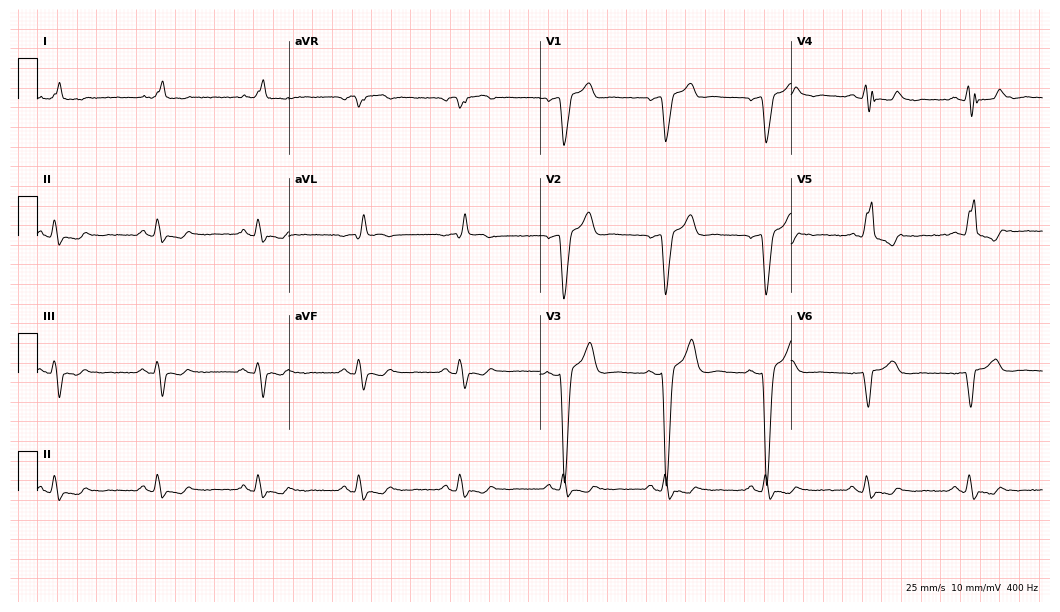
Standard 12-lead ECG recorded from a male patient, 68 years old. The tracing shows left bundle branch block.